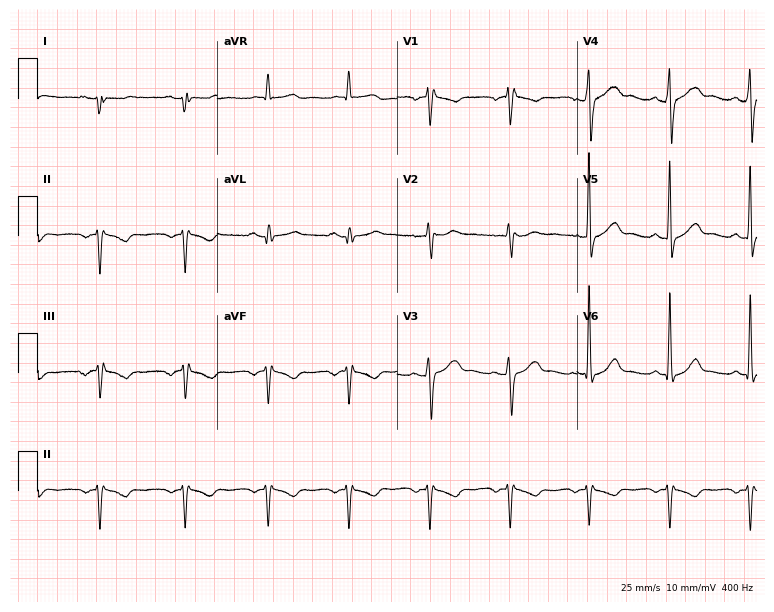
ECG — a 58-year-old male patient. Screened for six findings — first-degree AV block, right bundle branch block (RBBB), left bundle branch block (LBBB), sinus bradycardia, atrial fibrillation (AF), sinus tachycardia — none is recorded. Findings outside these six are not listed.